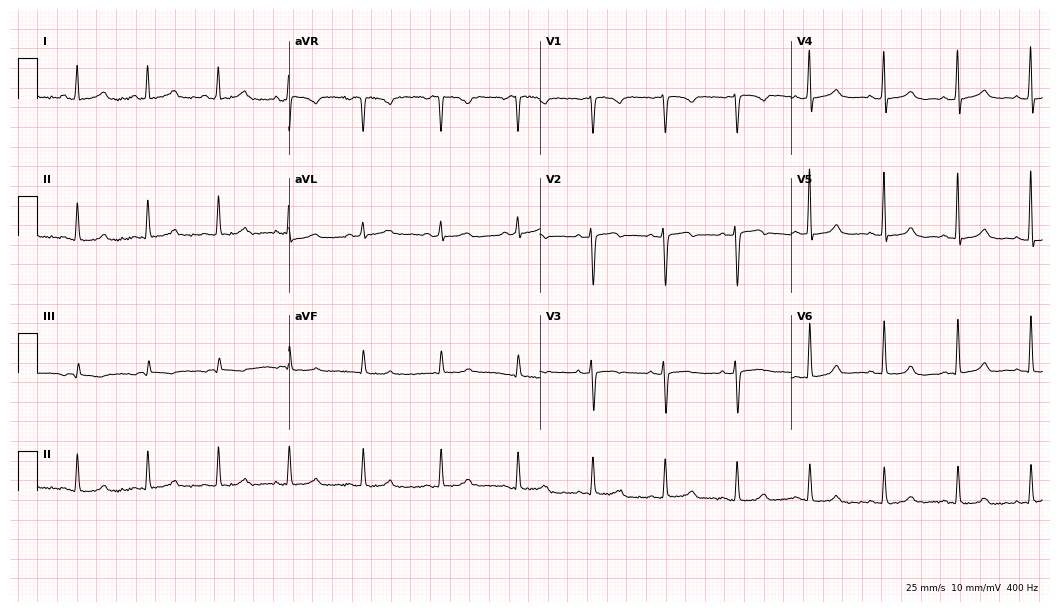
Resting 12-lead electrocardiogram. Patient: a woman, 43 years old. Read as a normal ECG.